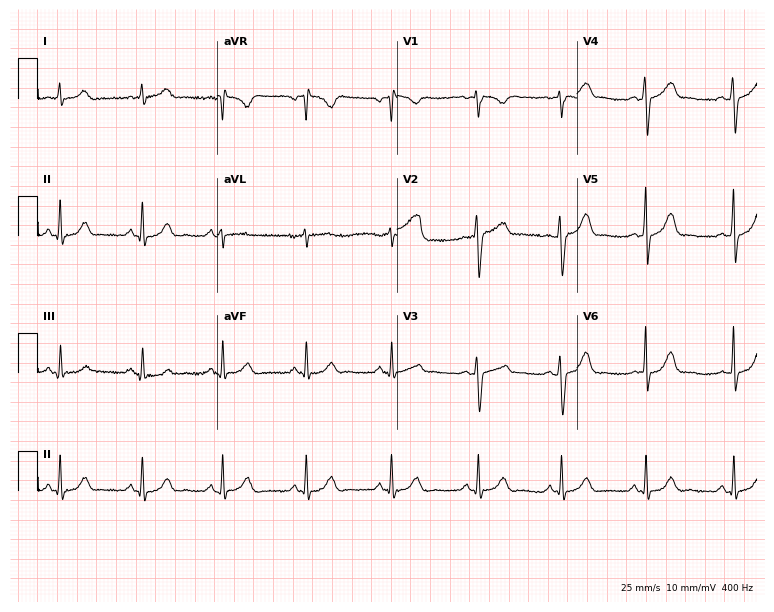
ECG (7.3-second recording at 400 Hz) — a female, 38 years old. Labelled as a normal ECG.